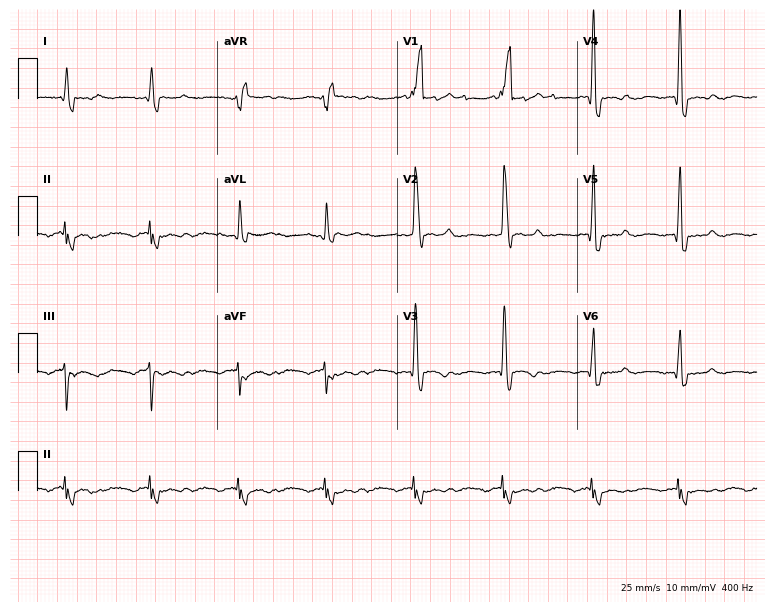
Standard 12-lead ECG recorded from a man, 85 years old. None of these six findings is recorded: first-degree AV block, right bundle branch block (RBBB), left bundle branch block (LBBB), sinus bradycardia, atrial fibrillation (AF), sinus tachycardia. Findings outside these six are not listed.